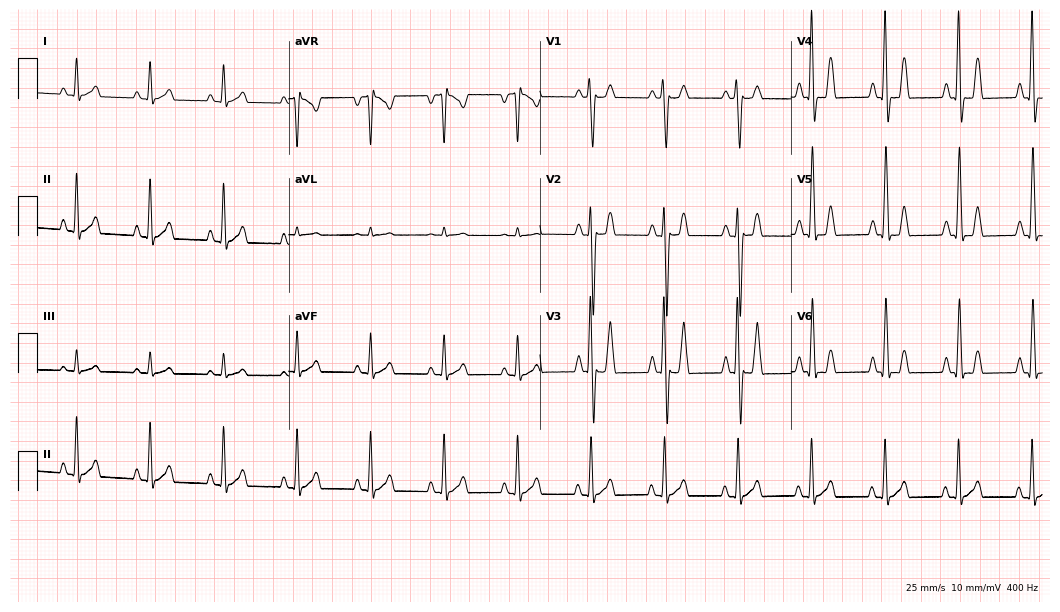
Standard 12-lead ECG recorded from a 71-year-old male. None of these six findings is recorded: first-degree AV block, right bundle branch block, left bundle branch block, sinus bradycardia, atrial fibrillation, sinus tachycardia. Findings outside these six are not listed.